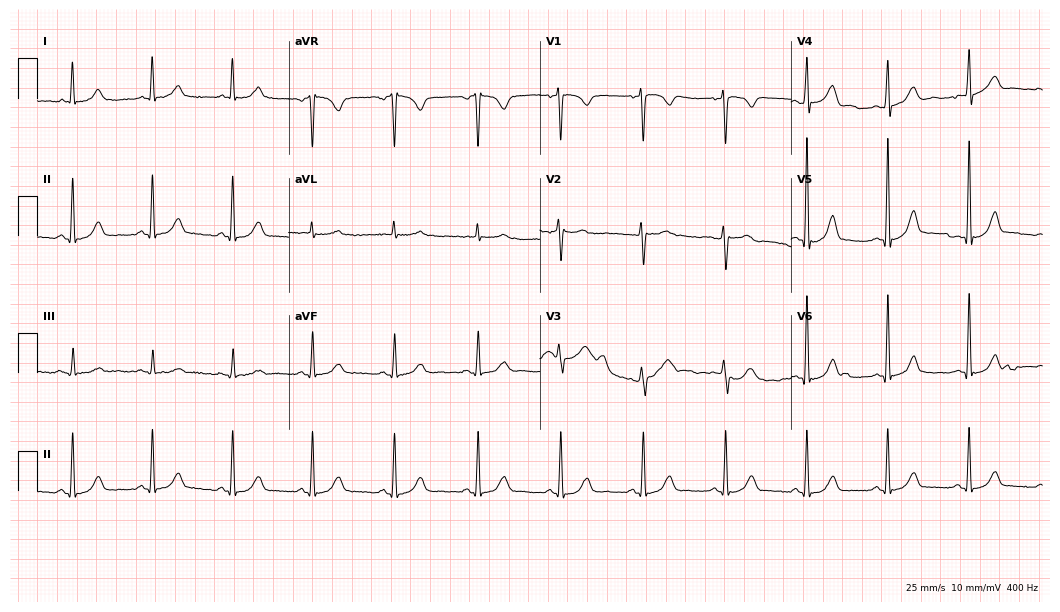
ECG (10.2-second recording at 400 Hz) — a 37-year-old female patient. Labelled as a normal ECG.